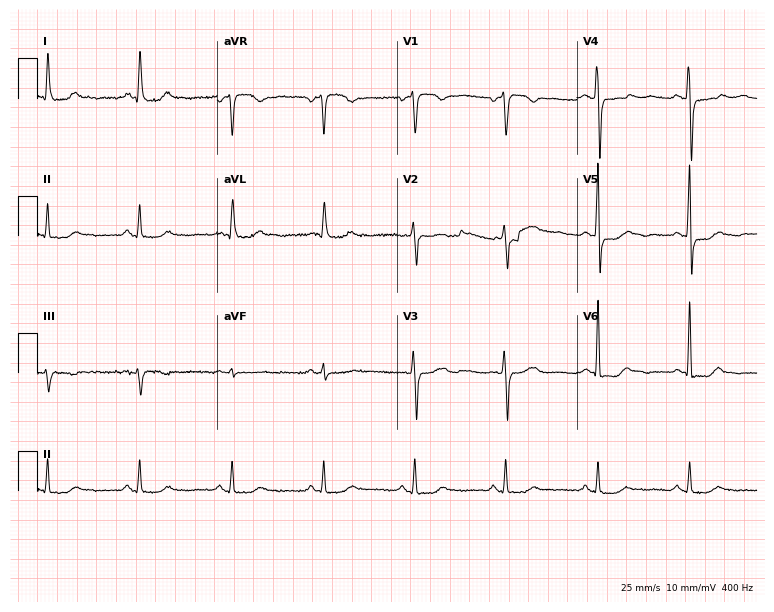
Electrocardiogram (7.3-second recording at 400 Hz), a 65-year-old woman. Of the six screened findings (first-degree AV block, right bundle branch block (RBBB), left bundle branch block (LBBB), sinus bradycardia, atrial fibrillation (AF), sinus tachycardia), none is recorded.